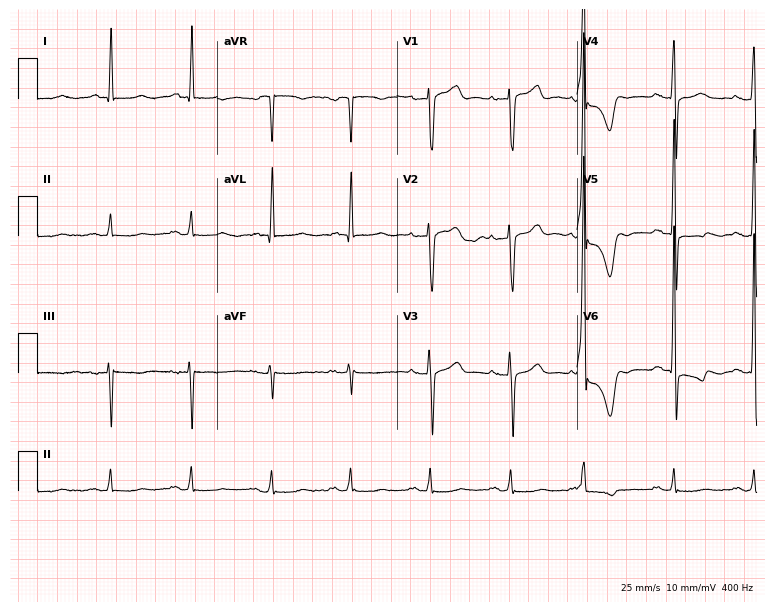
Resting 12-lead electrocardiogram (7.3-second recording at 400 Hz). Patient: an 83-year-old male. None of these six findings is recorded: first-degree AV block, right bundle branch block, left bundle branch block, sinus bradycardia, atrial fibrillation, sinus tachycardia.